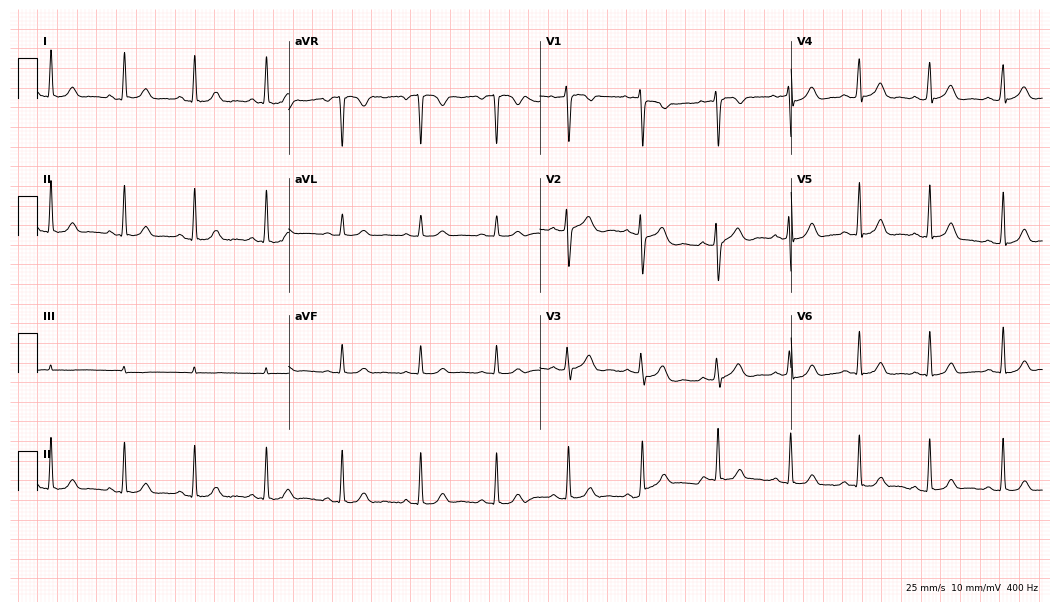
Electrocardiogram (10.2-second recording at 400 Hz), a 19-year-old woman. Overall reading on record: normal ECG.